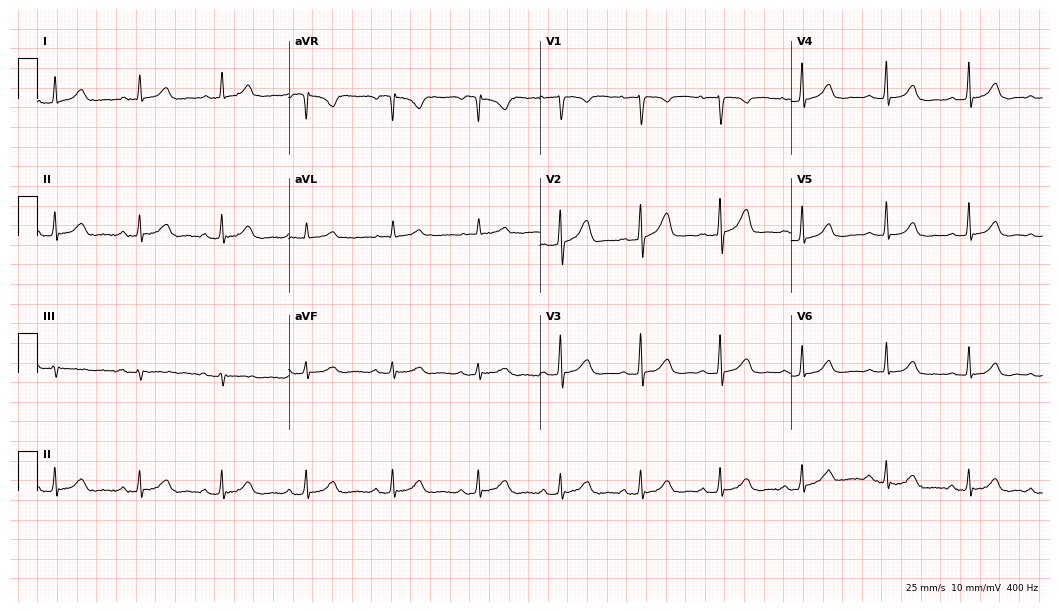
Standard 12-lead ECG recorded from a 30-year-old female (10.2-second recording at 400 Hz). None of these six findings is recorded: first-degree AV block, right bundle branch block (RBBB), left bundle branch block (LBBB), sinus bradycardia, atrial fibrillation (AF), sinus tachycardia.